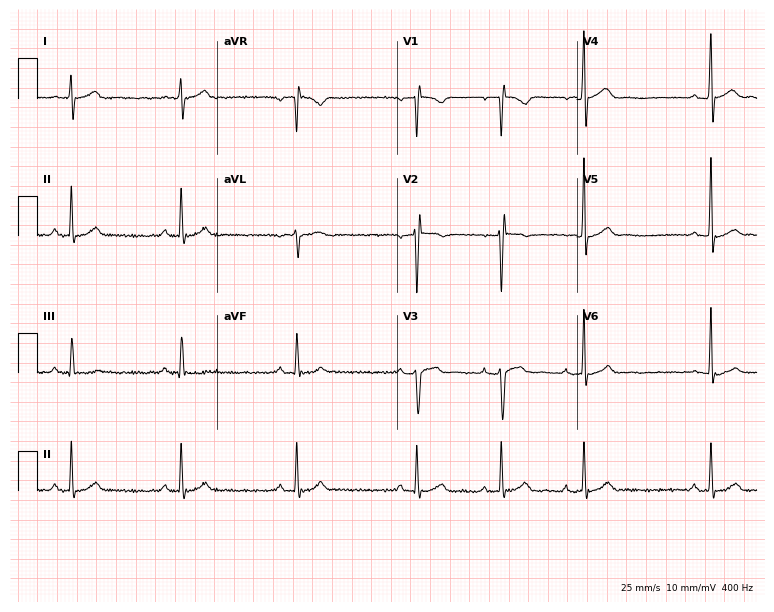
Electrocardiogram, a man, 20 years old. Of the six screened findings (first-degree AV block, right bundle branch block, left bundle branch block, sinus bradycardia, atrial fibrillation, sinus tachycardia), none is recorded. Only these six findings were labelled.